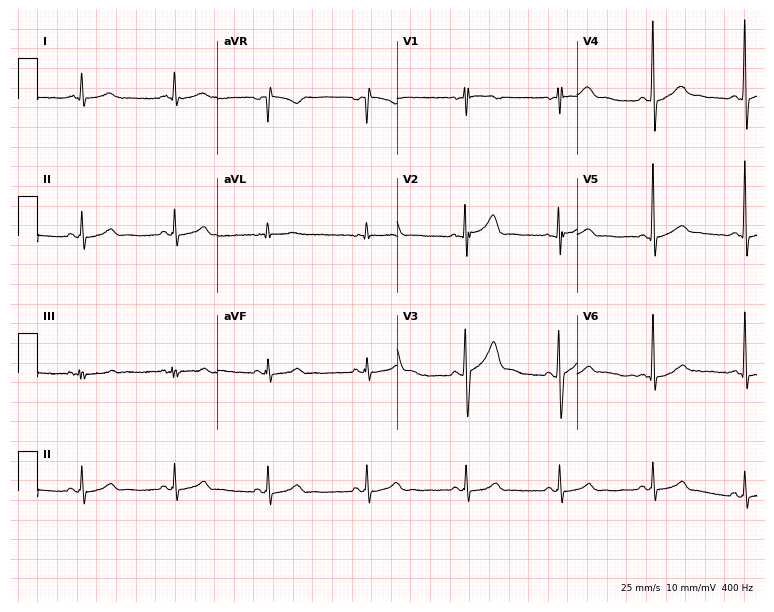
12-lead ECG from a male patient, 40 years old. Recorded interpretation: within normal limits.